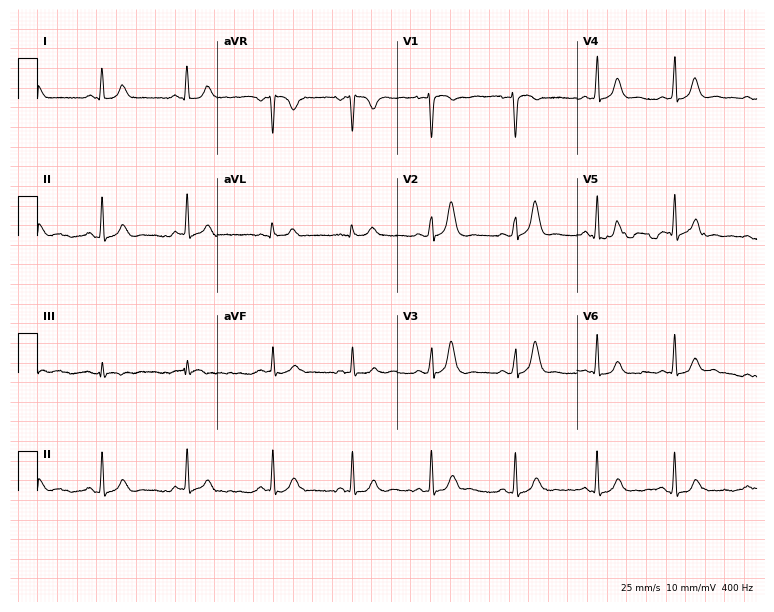
12-lead ECG from a female patient, 30 years old. Recorded interpretation: within normal limits.